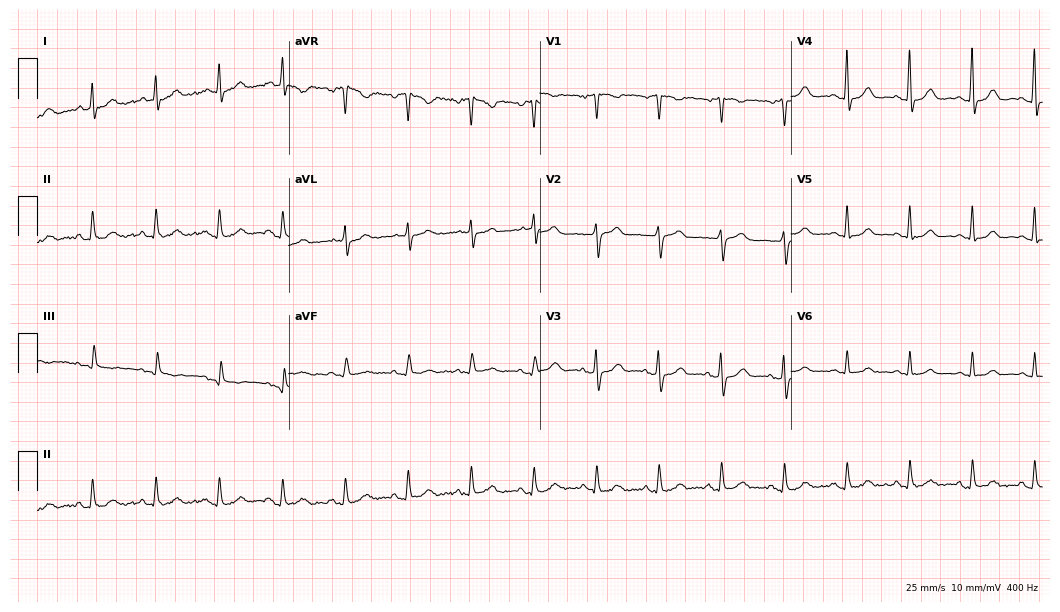
12-lead ECG (10.2-second recording at 400 Hz) from a 61-year-old female patient. Labelled as a normal ECG.